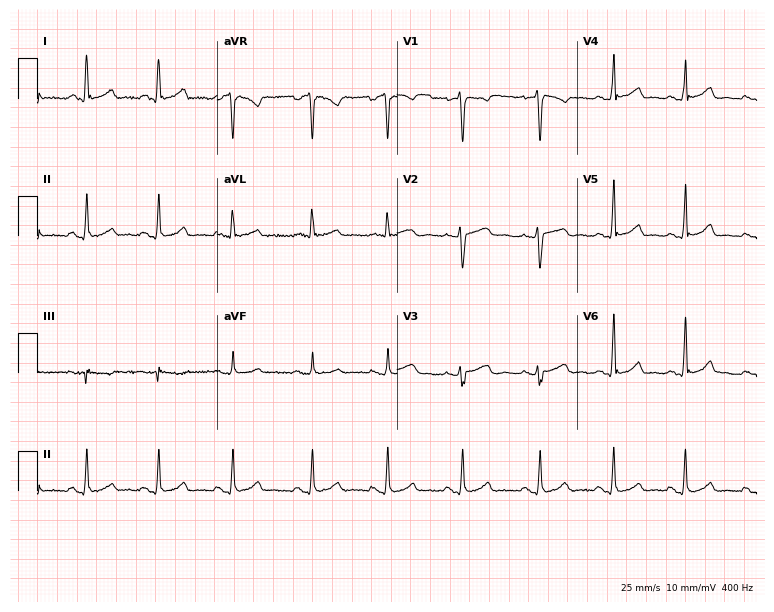
Standard 12-lead ECG recorded from a 41-year-old female (7.3-second recording at 400 Hz). Read as a normal ECG.